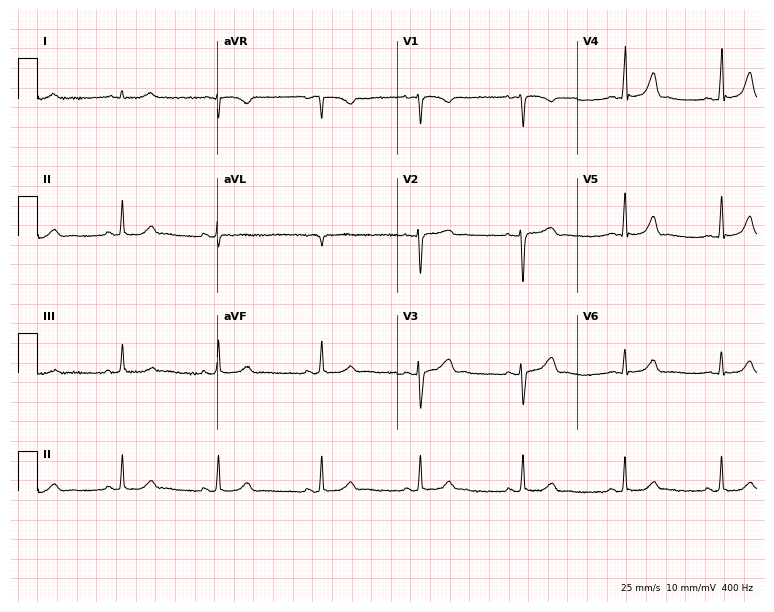
Electrocardiogram (7.3-second recording at 400 Hz), a 31-year-old female. Of the six screened findings (first-degree AV block, right bundle branch block (RBBB), left bundle branch block (LBBB), sinus bradycardia, atrial fibrillation (AF), sinus tachycardia), none is recorded. Findings outside these six are not listed.